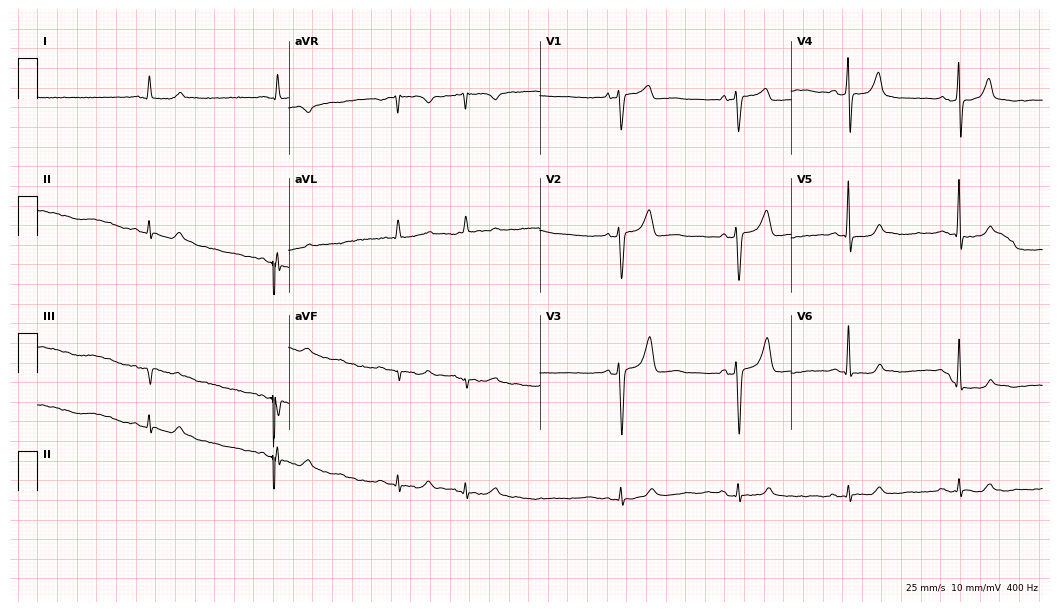
Standard 12-lead ECG recorded from a 70-year-old male. None of these six findings is recorded: first-degree AV block, right bundle branch block, left bundle branch block, sinus bradycardia, atrial fibrillation, sinus tachycardia. Findings outside these six are not listed.